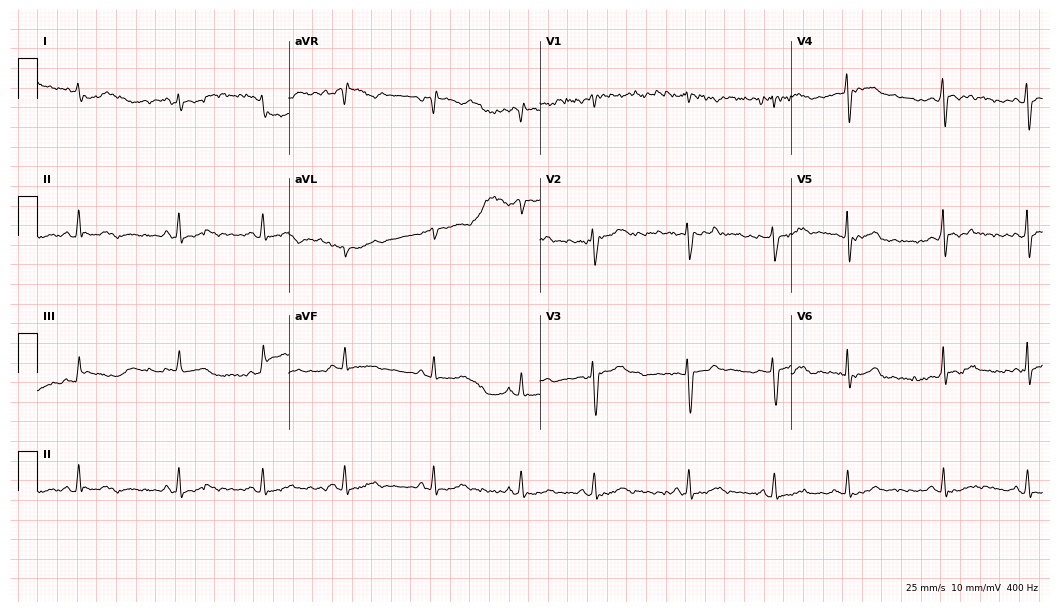
12-lead ECG from a 20-year-old woman. Labelled as a normal ECG.